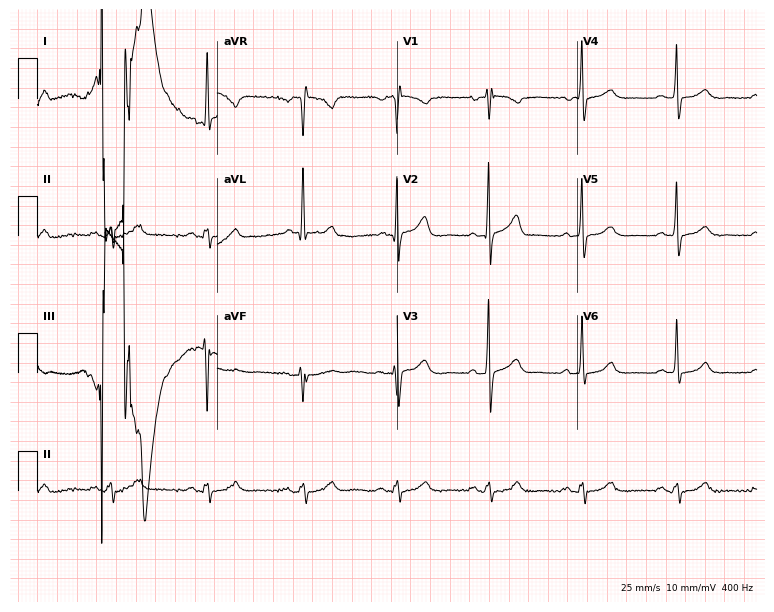
Resting 12-lead electrocardiogram. Patient: a male, 60 years old. None of these six findings is recorded: first-degree AV block, right bundle branch block, left bundle branch block, sinus bradycardia, atrial fibrillation, sinus tachycardia.